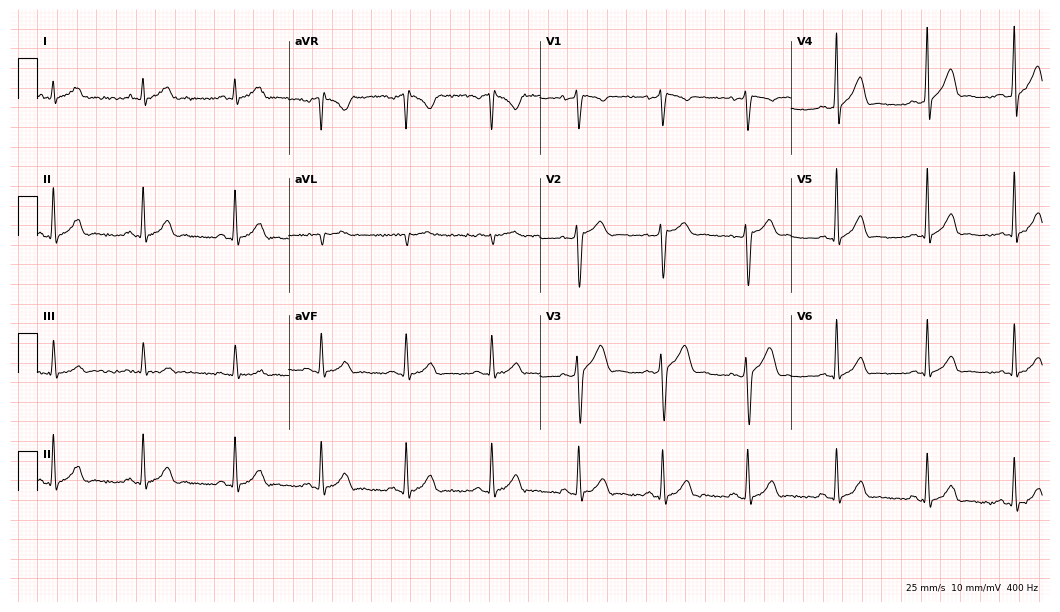
Resting 12-lead electrocardiogram. Patient: a male, 29 years old. Read as a normal ECG.